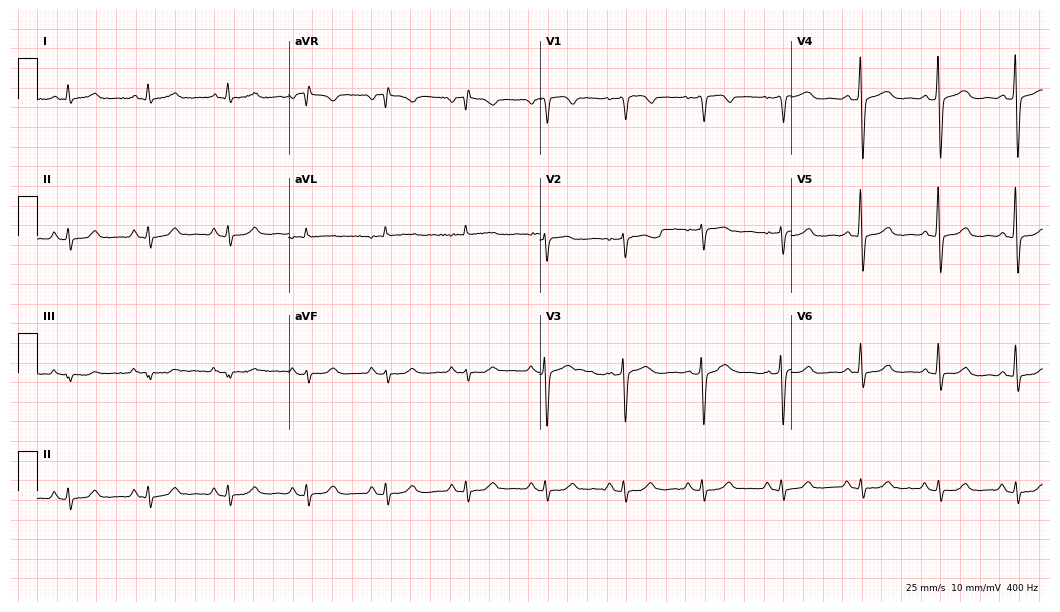
Resting 12-lead electrocardiogram (10.2-second recording at 400 Hz). Patient: a 64-year-old woman. None of these six findings is recorded: first-degree AV block, right bundle branch block, left bundle branch block, sinus bradycardia, atrial fibrillation, sinus tachycardia. Other findings, if any, are not listed.